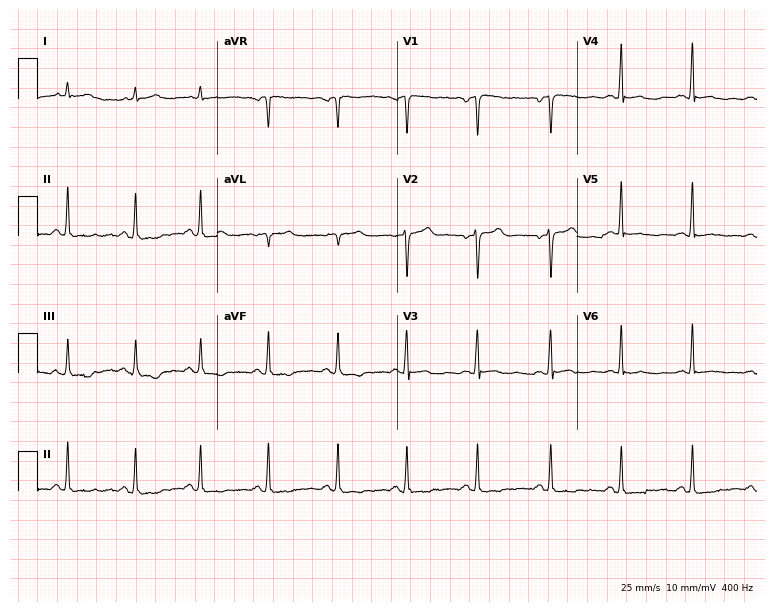
Electrocardiogram, a 33-year-old man. Of the six screened findings (first-degree AV block, right bundle branch block (RBBB), left bundle branch block (LBBB), sinus bradycardia, atrial fibrillation (AF), sinus tachycardia), none is recorded.